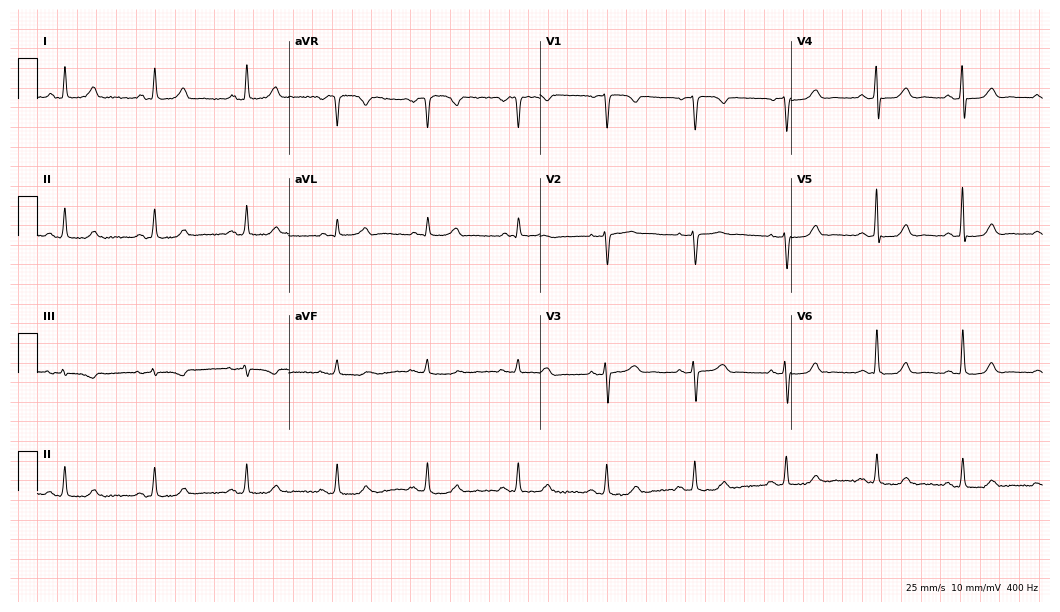
Resting 12-lead electrocardiogram. Patient: a woman, 42 years old. None of these six findings is recorded: first-degree AV block, right bundle branch block, left bundle branch block, sinus bradycardia, atrial fibrillation, sinus tachycardia.